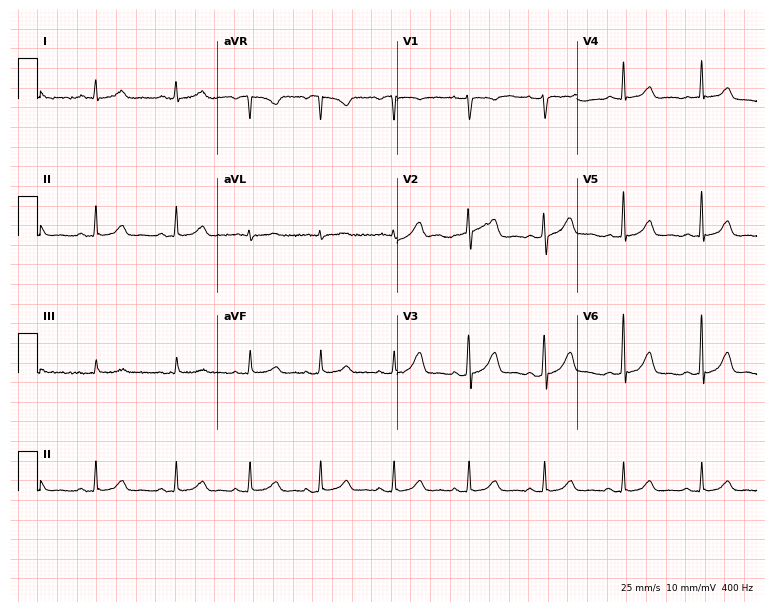
12-lead ECG (7.3-second recording at 400 Hz) from a female patient, 40 years old. Labelled as a normal ECG.